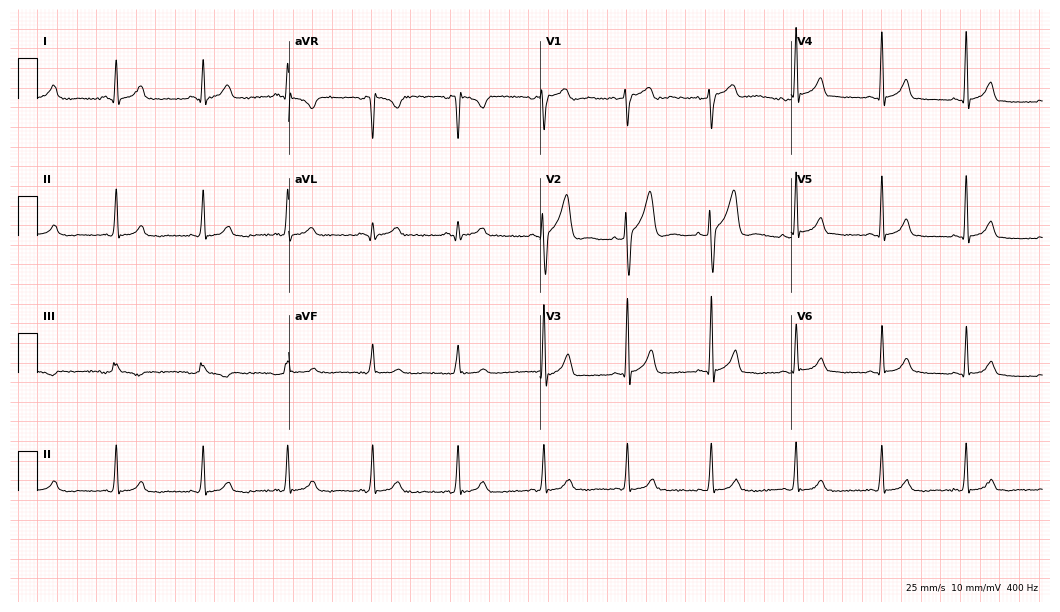
Electrocardiogram, a 49-year-old man. Overall reading on record: normal ECG.